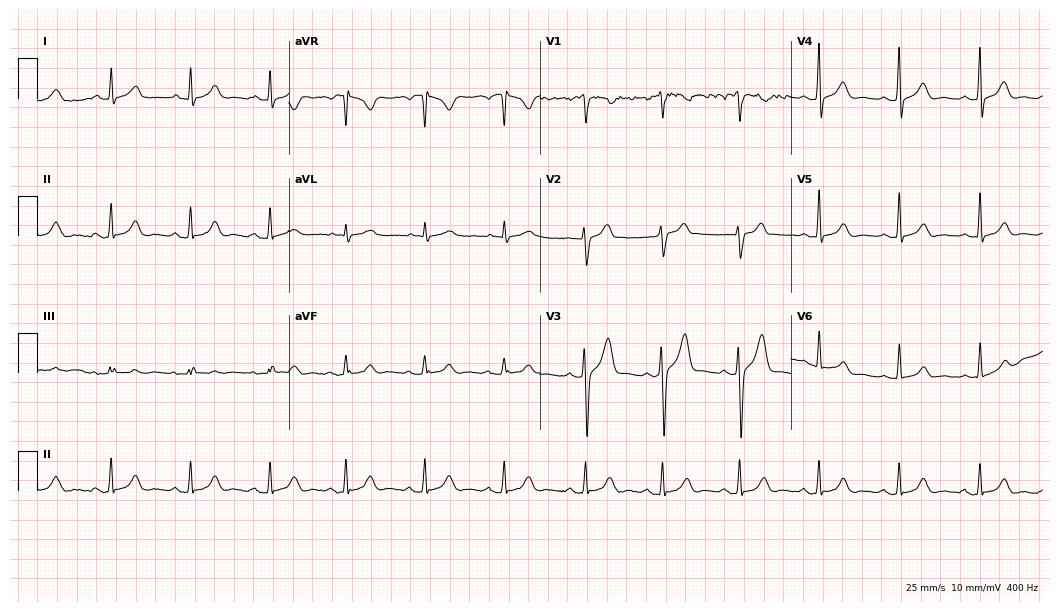
12-lead ECG from a 31-year-old male (10.2-second recording at 400 Hz). Recorded interpretation: within normal limits.